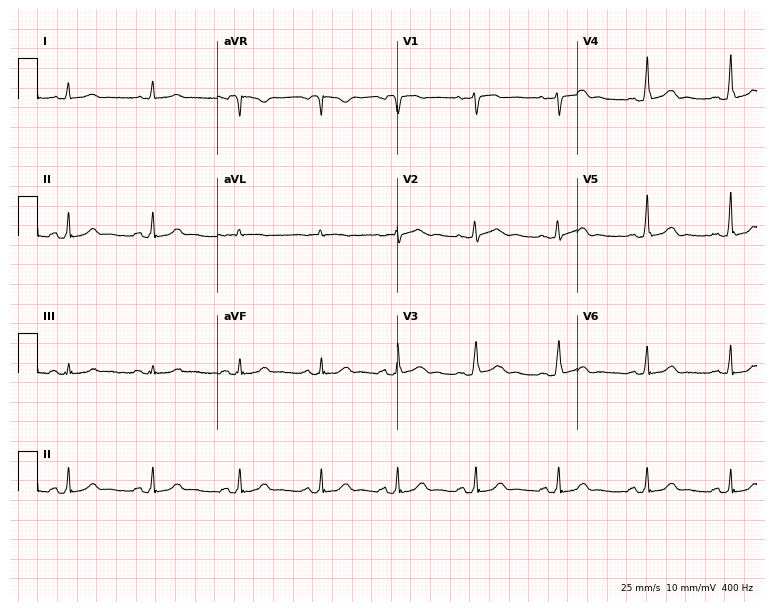
Standard 12-lead ECG recorded from a woman, 27 years old. Read as a normal ECG.